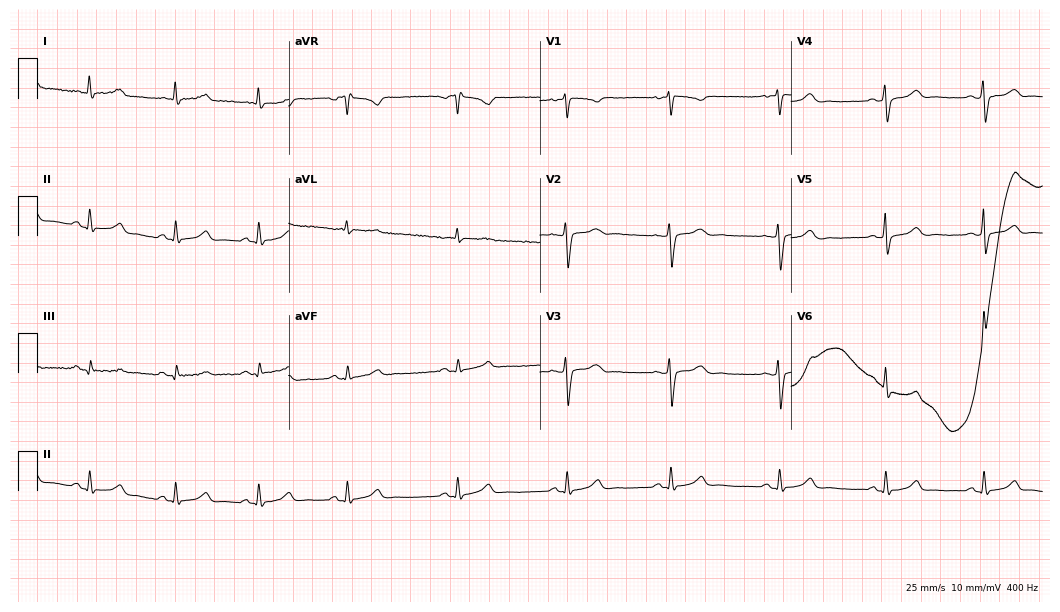
Electrocardiogram, a 39-year-old female. Overall reading on record: normal ECG.